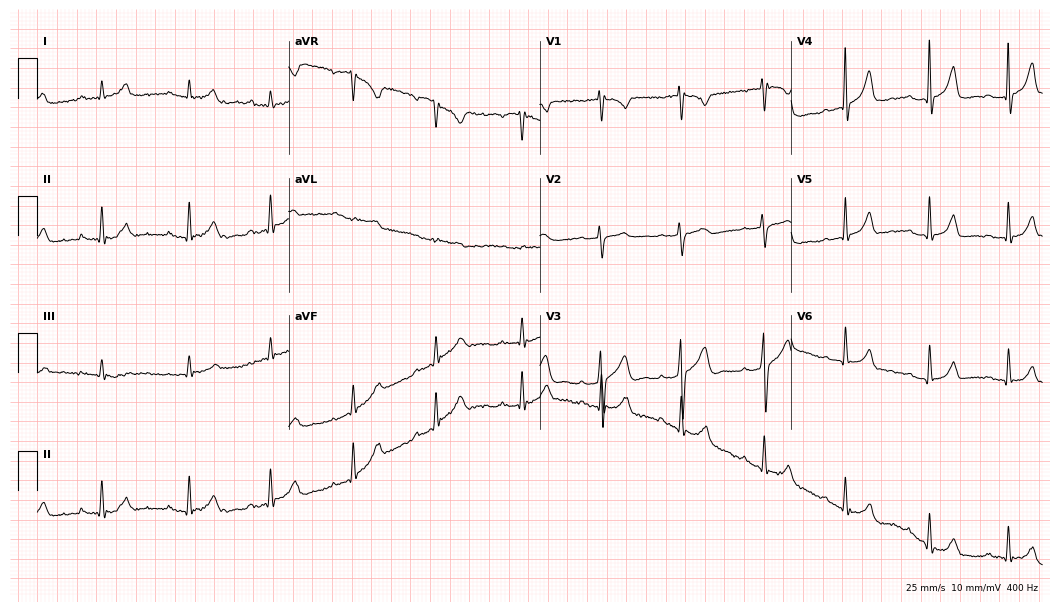
ECG — a female patient, 27 years old. Screened for six findings — first-degree AV block, right bundle branch block (RBBB), left bundle branch block (LBBB), sinus bradycardia, atrial fibrillation (AF), sinus tachycardia — none is recorded. Only these six findings were labelled.